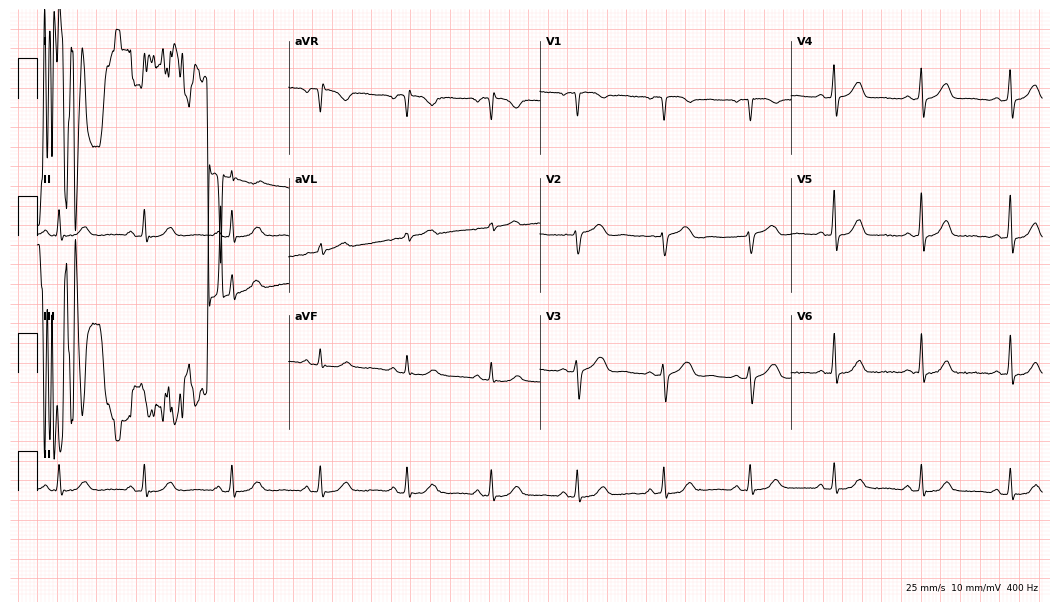
12-lead ECG from a male patient, 53 years old. No first-degree AV block, right bundle branch block (RBBB), left bundle branch block (LBBB), sinus bradycardia, atrial fibrillation (AF) or sinus tachycardia recorded for this tracing.